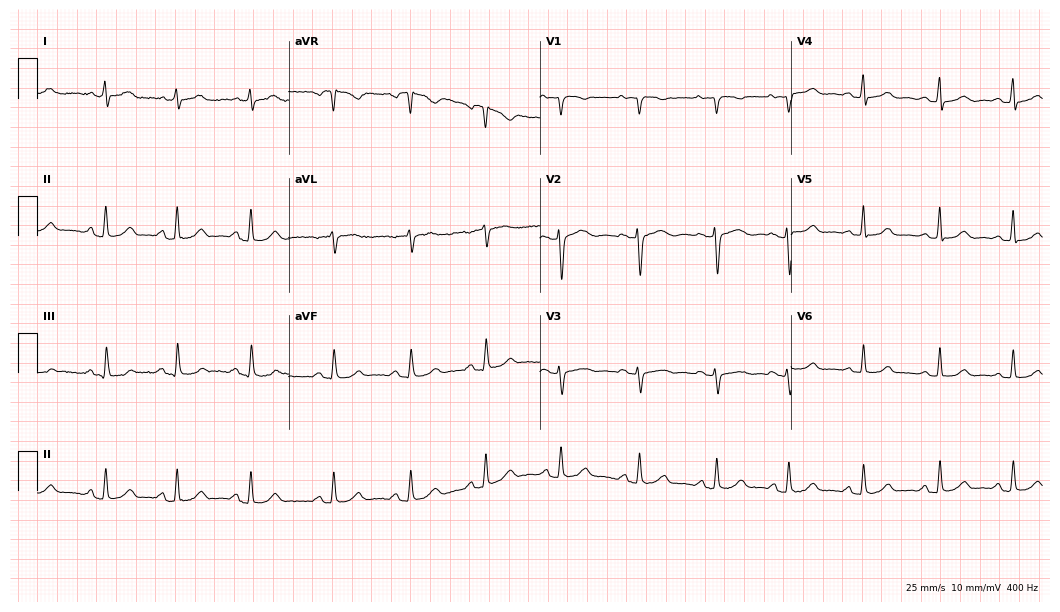
ECG — a female, 37 years old. Labelled as a normal ECG.